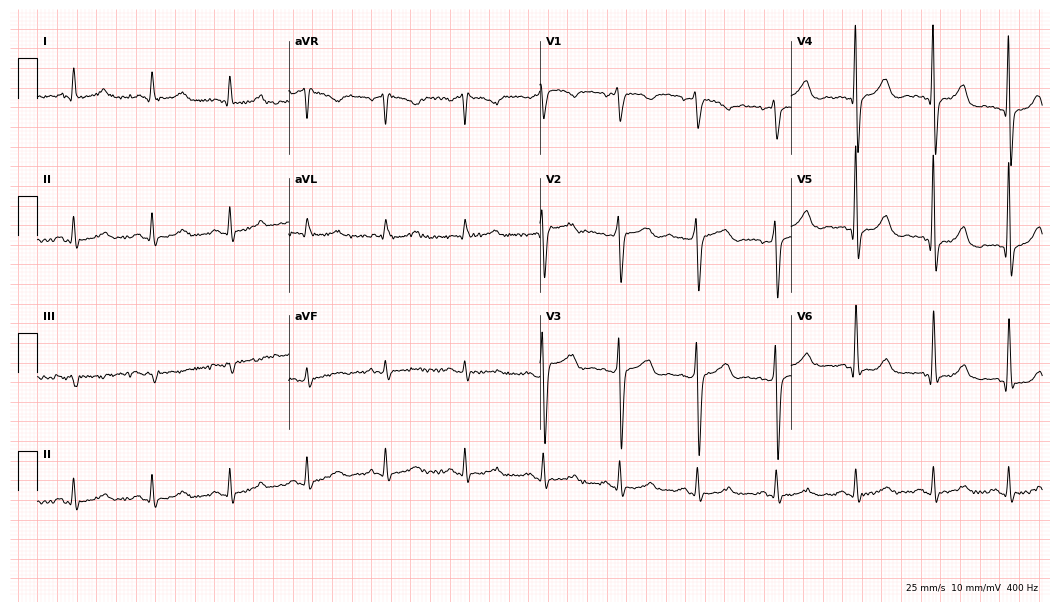
12-lead ECG from a man, 61 years old (10.2-second recording at 400 Hz). No first-degree AV block, right bundle branch block, left bundle branch block, sinus bradycardia, atrial fibrillation or sinus tachycardia recorded for this tracing. Only these six findings were labelled.